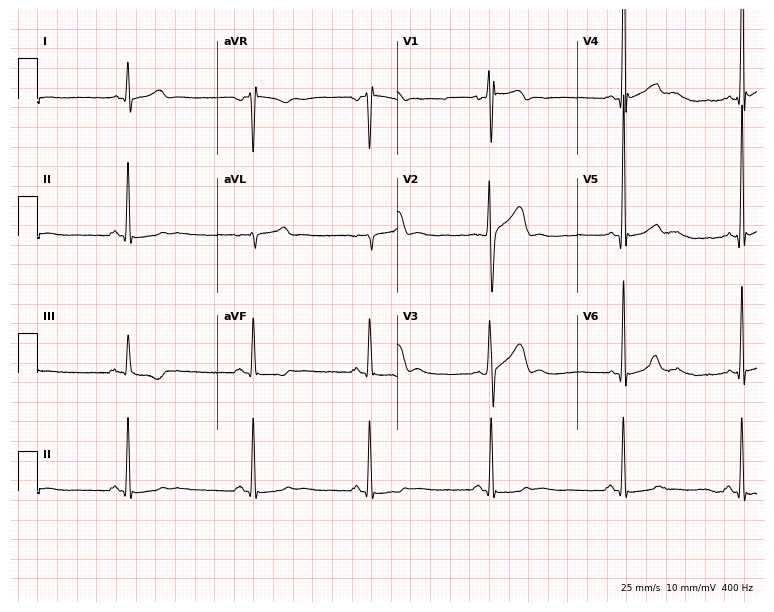
Resting 12-lead electrocardiogram. Patient: a 23-year-old male. The tracing shows sinus bradycardia (a sinus rate of 50 beats per minute or less).